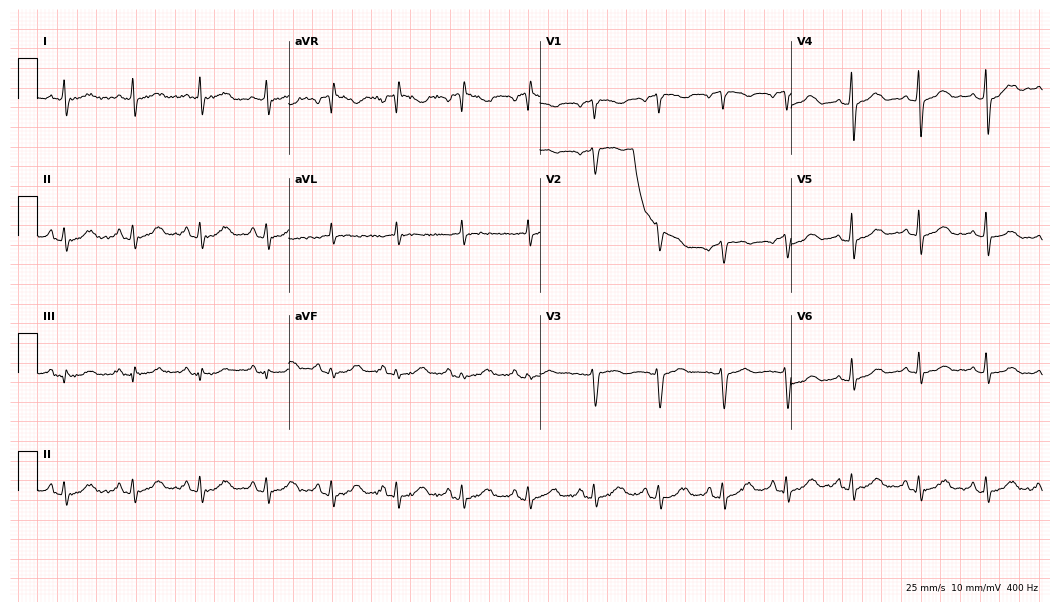
Standard 12-lead ECG recorded from a female, 54 years old. None of these six findings is recorded: first-degree AV block, right bundle branch block, left bundle branch block, sinus bradycardia, atrial fibrillation, sinus tachycardia.